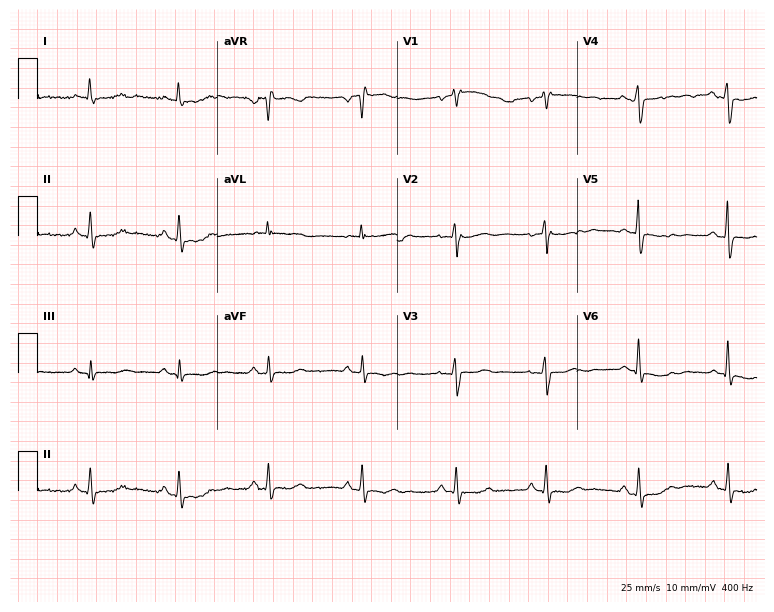
Electrocardiogram (7.3-second recording at 400 Hz), a female patient, 56 years old. Of the six screened findings (first-degree AV block, right bundle branch block, left bundle branch block, sinus bradycardia, atrial fibrillation, sinus tachycardia), none is recorded.